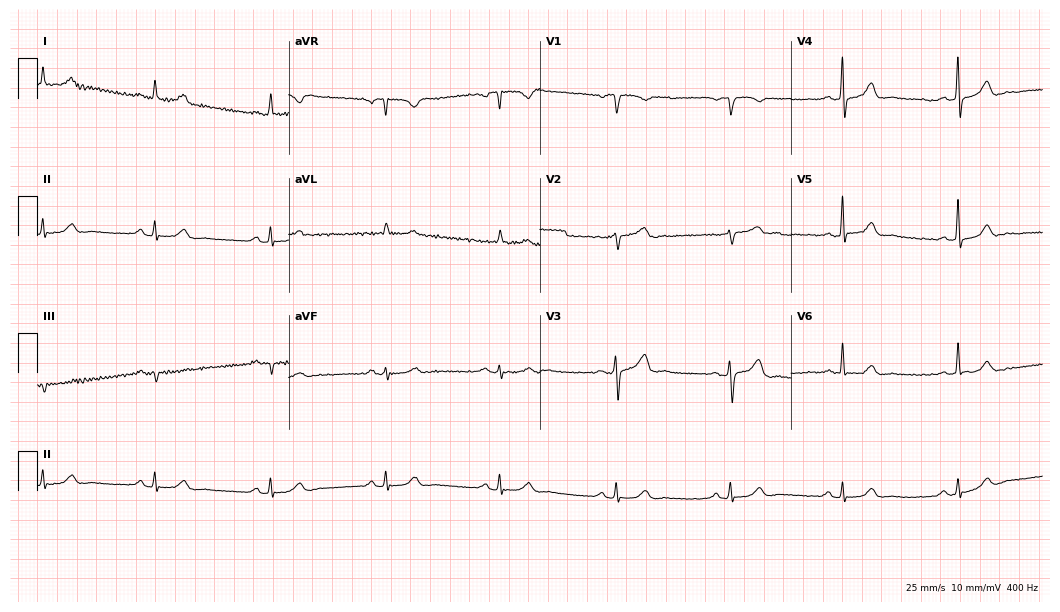
Electrocardiogram, a male patient, 76 years old. Overall reading on record: normal ECG.